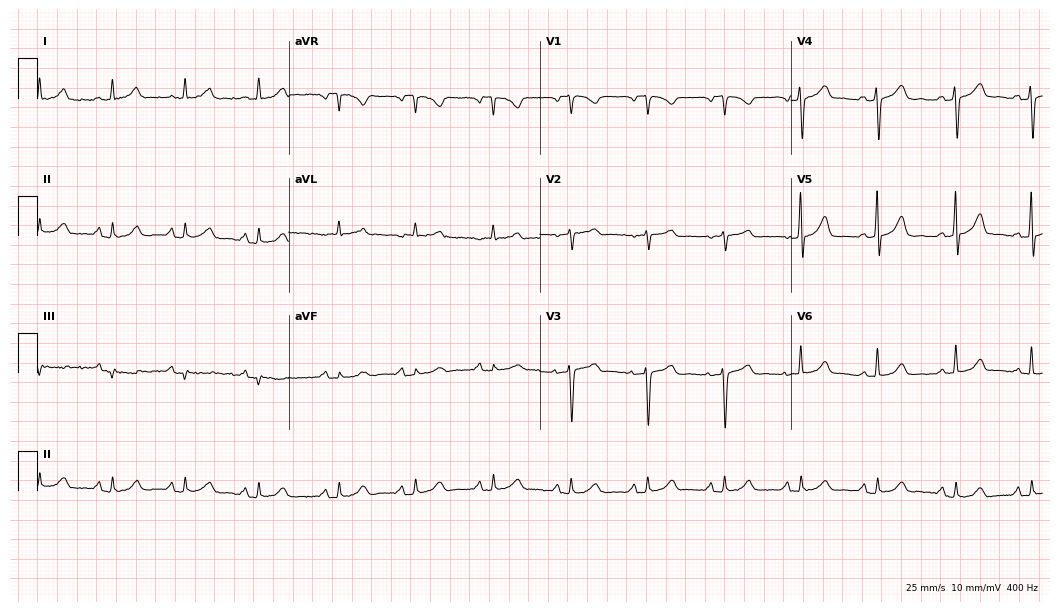
Electrocardiogram, a female, 52 years old. Of the six screened findings (first-degree AV block, right bundle branch block, left bundle branch block, sinus bradycardia, atrial fibrillation, sinus tachycardia), none is recorded.